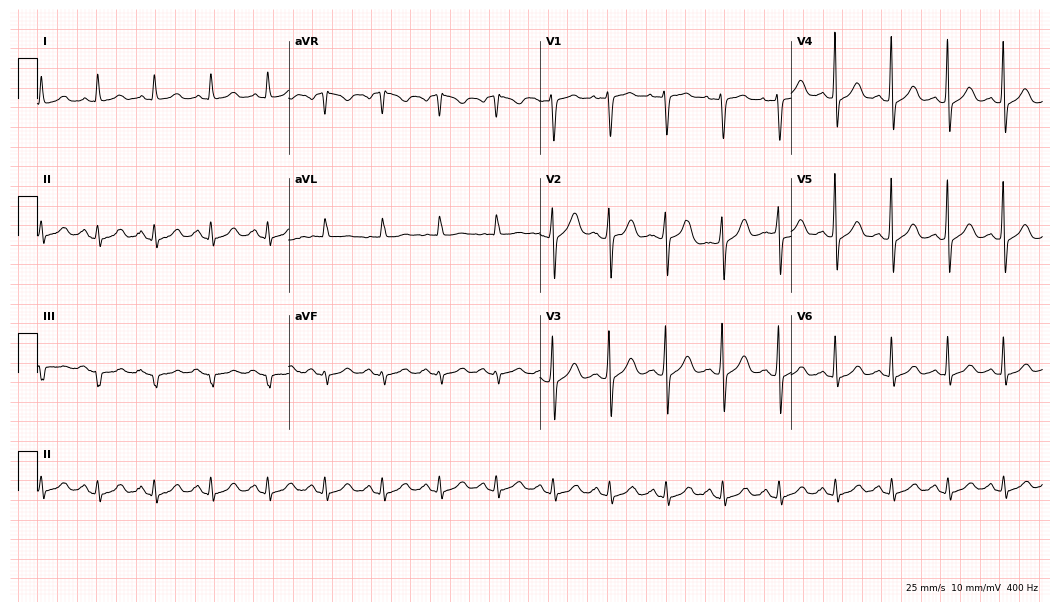
12-lead ECG from a female patient, 66 years old. Findings include sinus tachycardia (a sinus rate of 100 beats per minute or more).